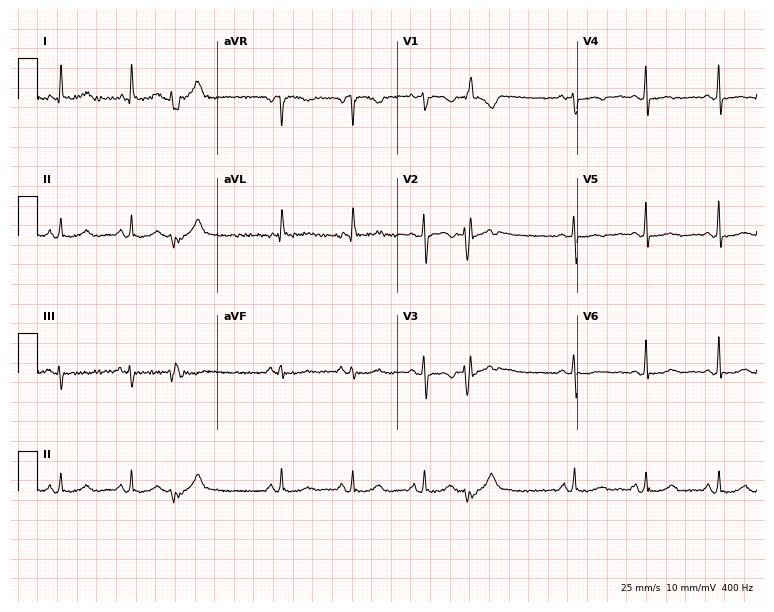
ECG — a 53-year-old female. Screened for six findings — first-degree AV block, right bundle branch block (RBBB), left bundle branch block (LBBB), sinus bradycardia, atrial fibrillation (AF), sinus tachycardia — none is recorded. Findings outside these six are not listed.